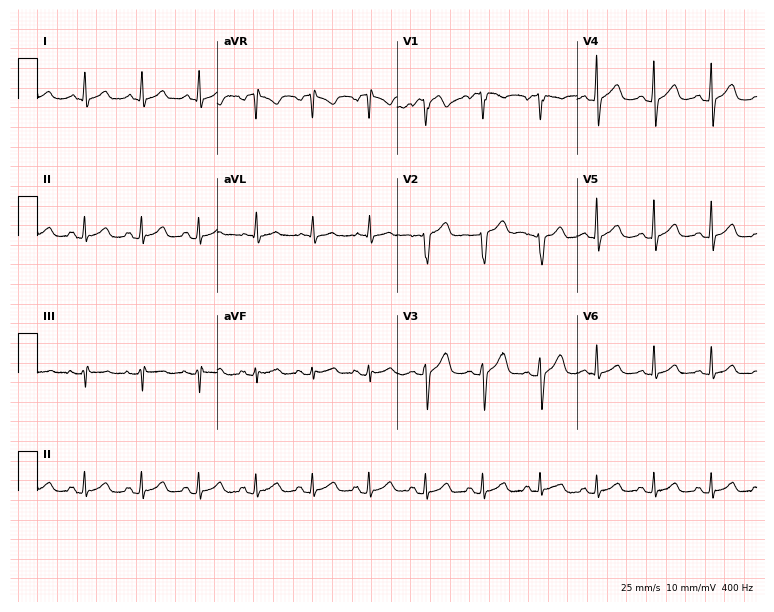
Electrocardiogram (7.3-second recording at 400 Hz), a male patient, 50 years old. Overall reading on record: normal ECG.